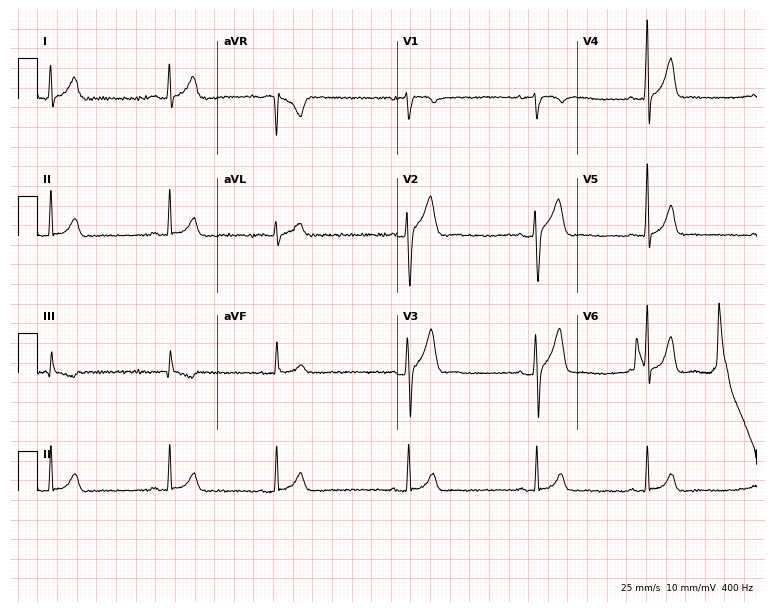
12-lead ECG from a man, 24 years old. Shows sinus bradycardia (a sinus rate of 50 beats per minute or less).